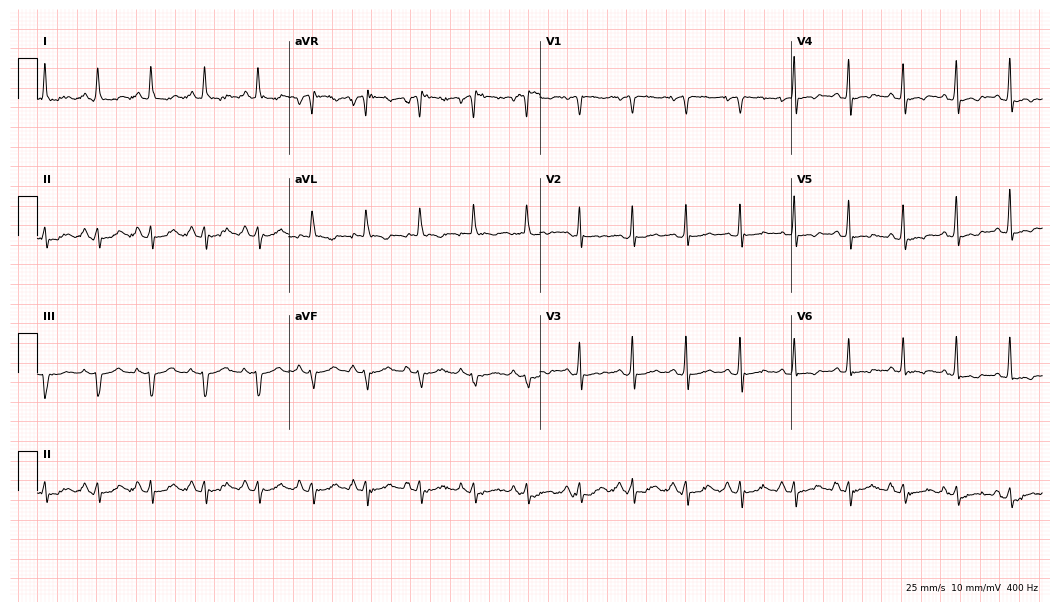
Standard 12-lead ECG recorded from a male, 70 years old. The tracing shows sinus tachycardia (a sinus rate of 100 beats per minute or more).